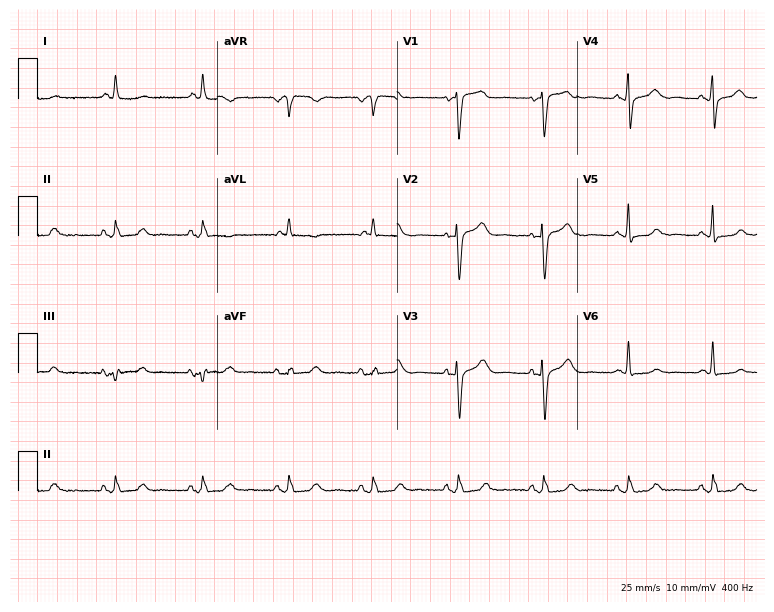
Resting 12-lead electrocardiogram (7.3-second recording at 400 Hz). Patient: an 83-year-old female. None of these six findings is recorded: first-degree AV block, right bundle branch block (RBBB), left bundle branch block (LBBB), sinus bradycardia, atrial fibrillation (AF), sinus tachycardia. Only these six findings were labelled.